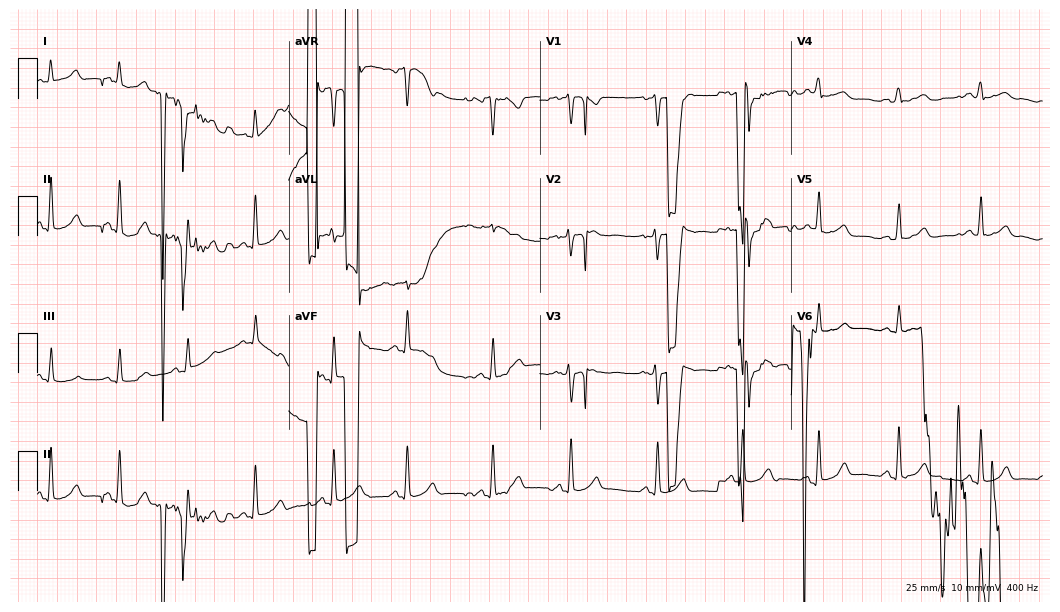
Resting 12-lead electrocardiogram. Patient: a female, 21 years old. None of these six findings is recorded: first-degree AV block, right bundle branch block, left bundle branch block, sinus bradycardia, atrial fibrillation, sinus tachycardia.